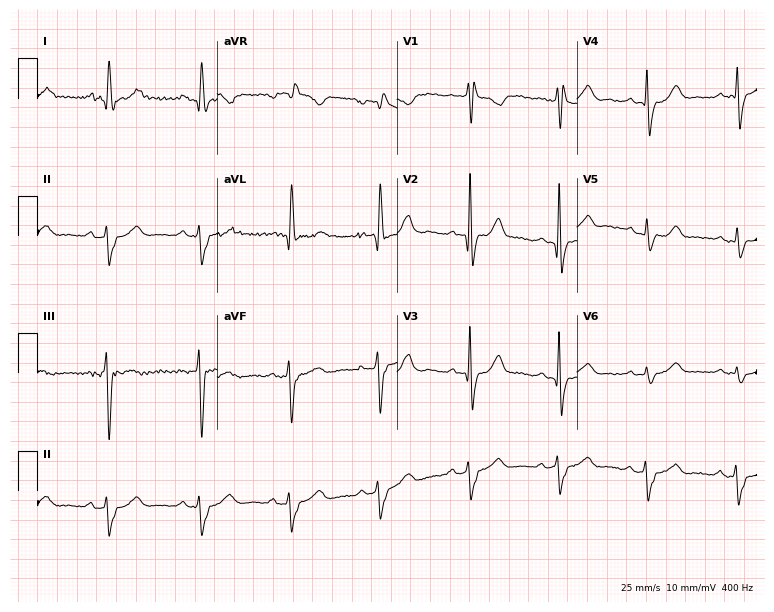
ECG — a 73-year-old female. Findings include right bundle branch block.